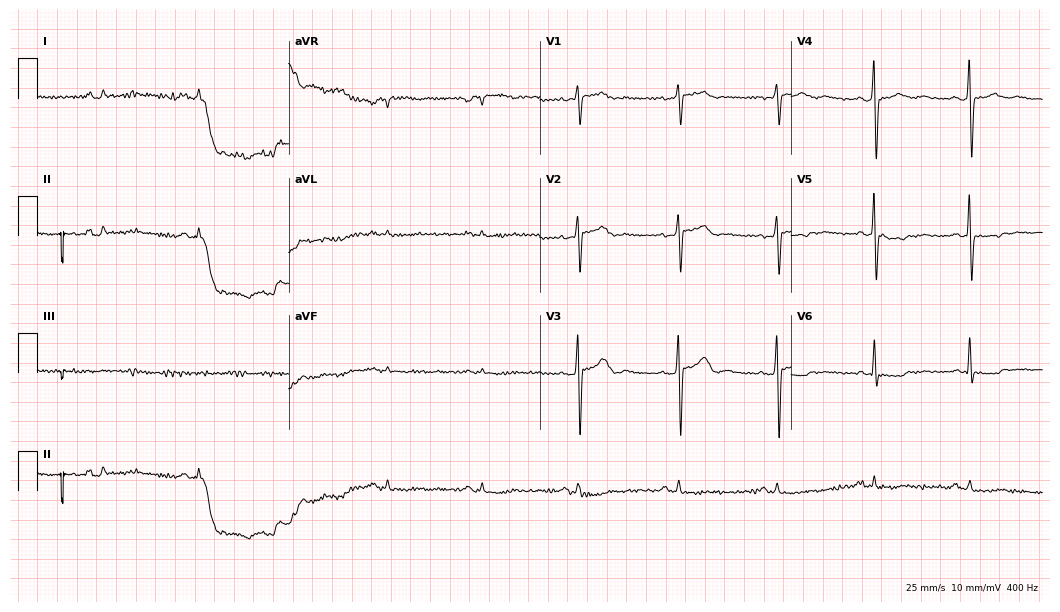
ECG (10.2-second recording at 400 Hz) — a male patient, 74 years old. Screened for six findings — first-degree AV block, right bundle branch block, left bundle branch block, sinus bradycardia, atrial fibrillation, sinus tachycardia — none is recorded. Only these six findings were labelled.